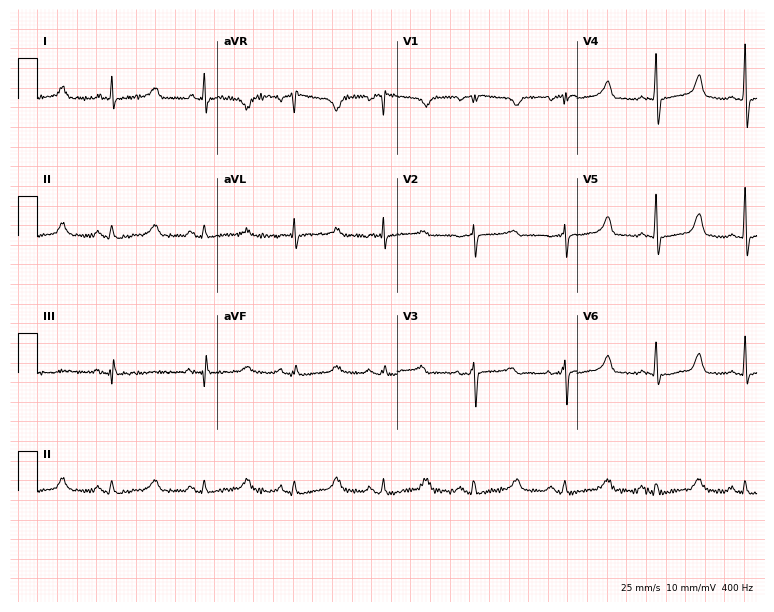
12-lead ECG from a woman, 66 years old (7.3-second recording at 400 Hz). No first-degree AV block, right bundle branch block, left bundle branch block, sinus bradycardia, atrial fibrillation or sinus tachycardia recorded for this tracing.